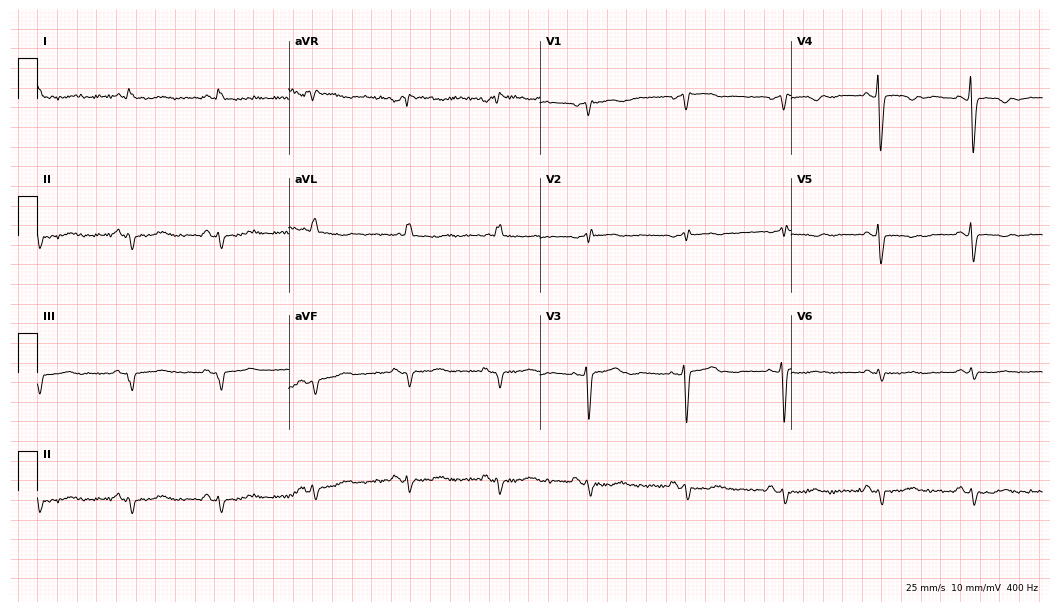
Electrocardiogram, a 68-year-old female patient. Of the six screened findings (first-degree AV block, right bundle branch block, left bundle branch block, sinus bradycardia, atrial fibrillation, sinus tachycardia), none is recorded. Only these six findings were labelled.